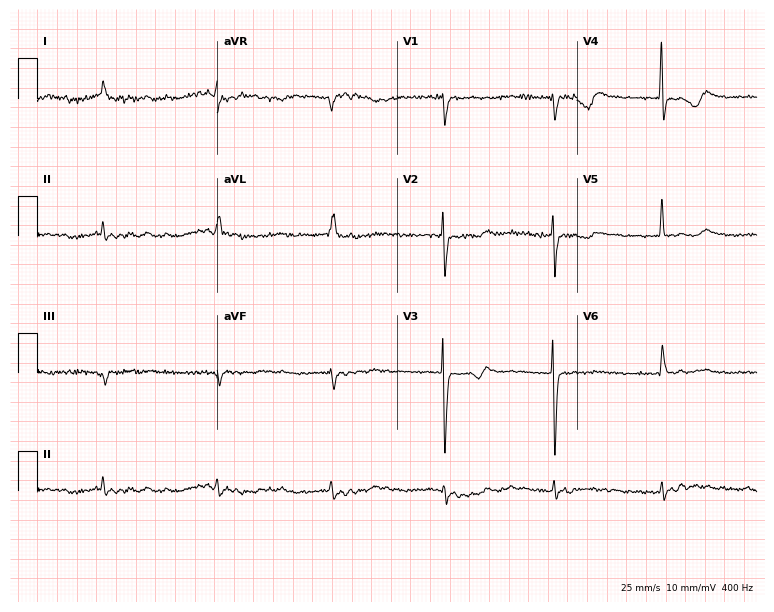
Resting 12-lead electrocardiogram (7.3-second recording at 400 Hz). Patient: a woman, 79 years old. None of these six findings is recorded: first-degree AV block, right bundle branch block, left bundle branch block, sinus bradycardia, atrial fibrillation, sinus tachycardia. Findings outside these six are not listed.